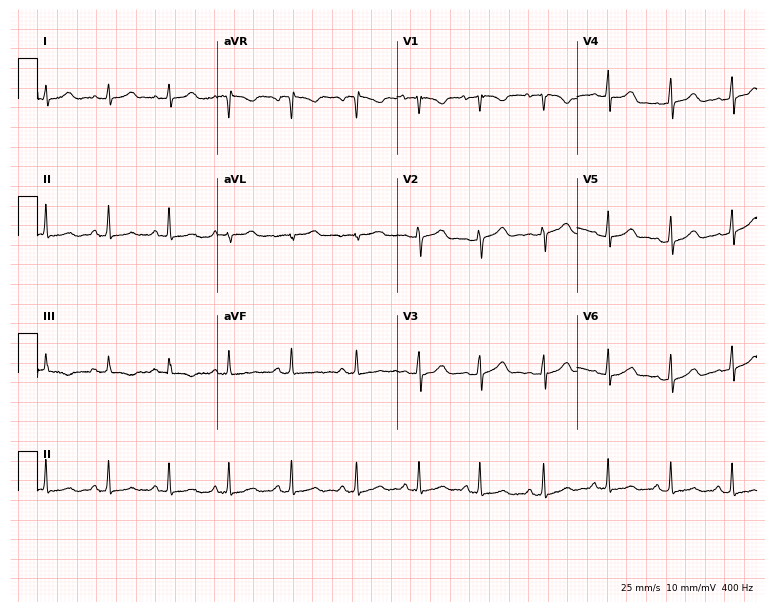
Electrocardiogram, a female patient, 20 years old. Overall reading on record: normal ECG.